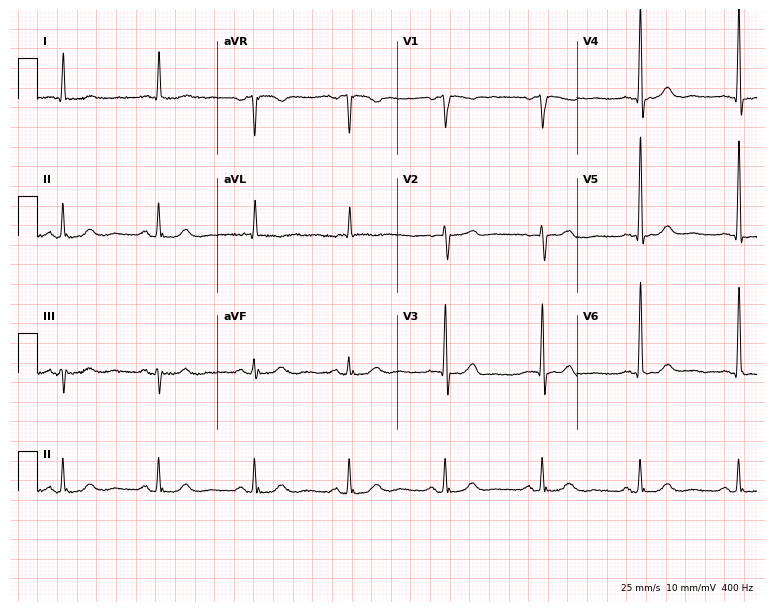
ECG — an 81-year-old female patient. Screened for six findings — first-degree AV block, right bundle branch block, left bundle branch block, sinus bradycardia, atrial fibrillation, sinus tachycardia — none is recorded. Other findings, if any, are not listed.